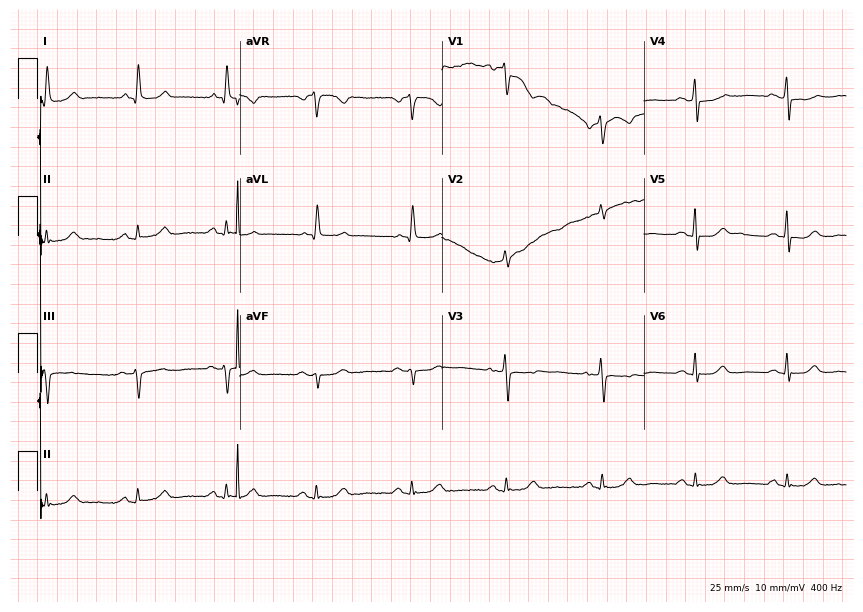
12-lead ECG from a 76-year-old woman (8.2-second recording at 400 Hz). No first-degree AV block, right bundle branch block, left bundle branch block, sinus bradycardia, atrial fibrillation or sinus tachycardia recorded for this tracing.